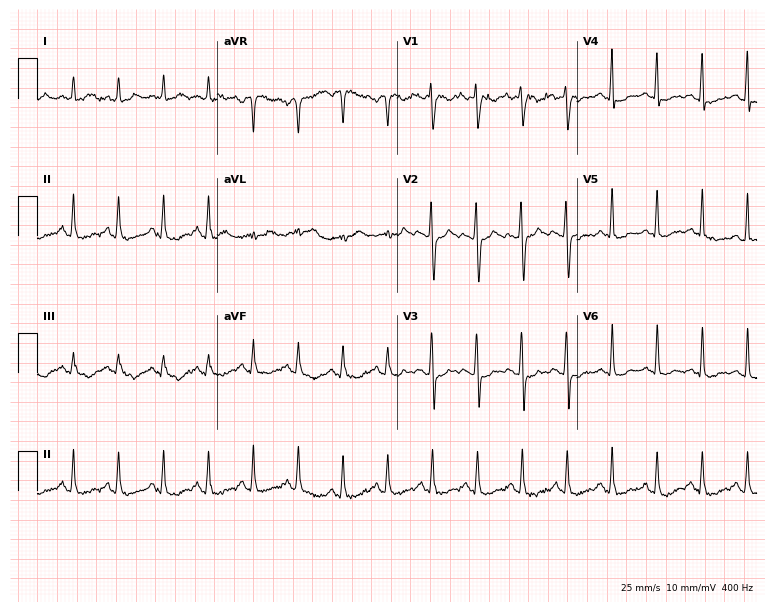
Electrocardiogram (7.3-second recording at 400 Hz), a 27-year-old woman. Interpretation includes sinus tachycardia (a sinus rate of 100 beats per minute or more).